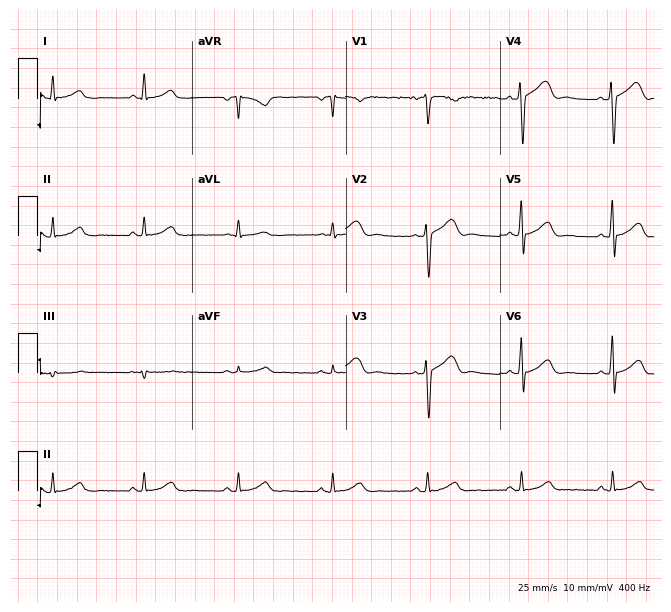
12-lead ECG from a 50-year-old male. Labelled as a normal ECG.